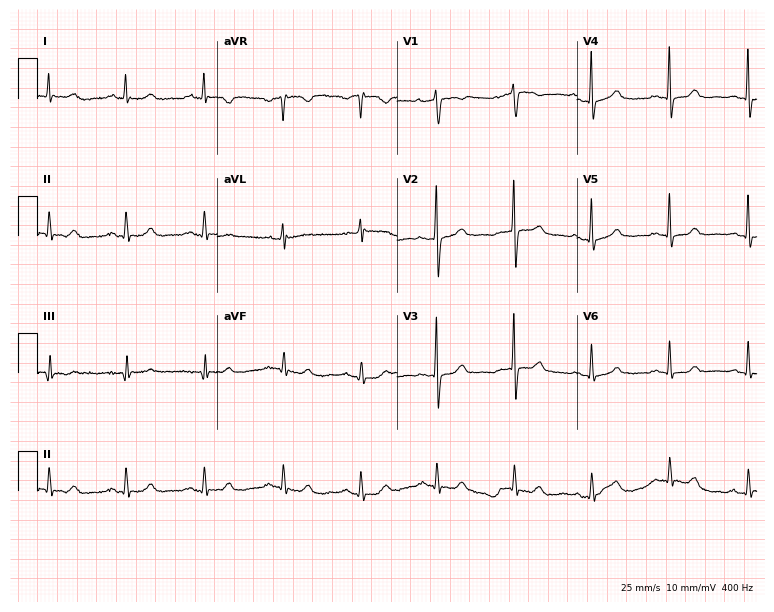
12-lead ECG from a female, 50 years old. Screened for six findings — first-degree AV block, right bundle branch block, left bundle branch block, sinus bradycardia, atrial fibrillation, sinus tachycardia — none is recorded.